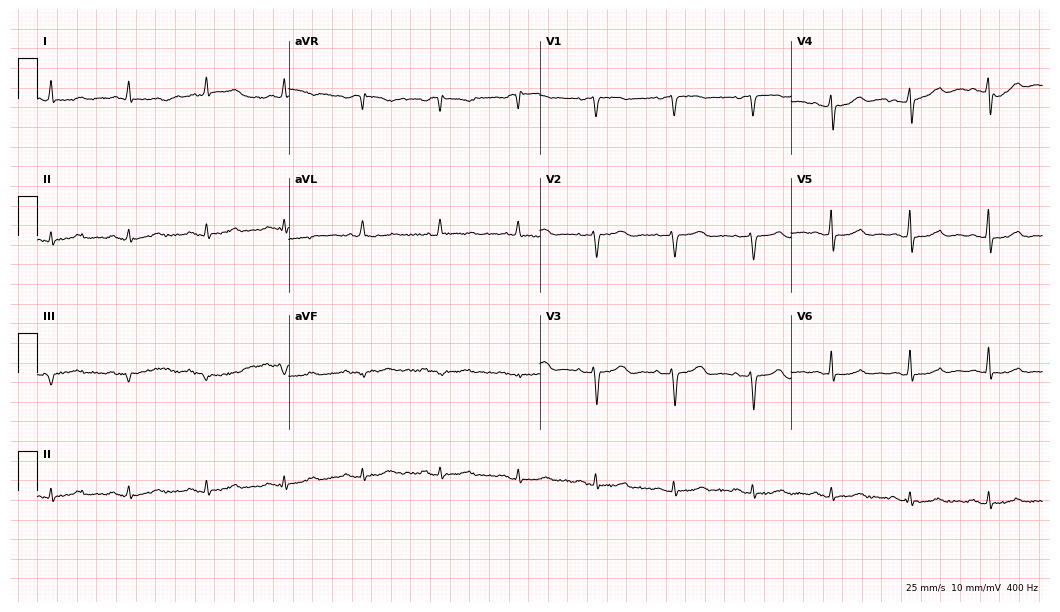
Standard 12-lead ECG recorded from an 82-year-old female (10.2-second recording at 400 Hz). Read as a normal ECG.